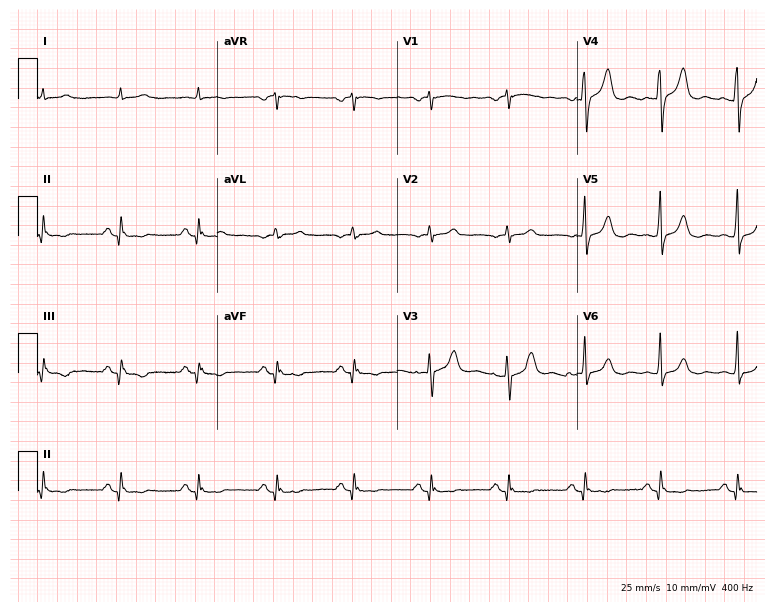
Resting 12-lead electrocardiogram (7.3-second recording at 400 Hz). Patient: an 81-year-old male. None of these six findings is recorded: first-degree AV block, right bundle branch block, left bundle branch block, sinus bradycardia, atrial fibrillation, sinus tachycardia.